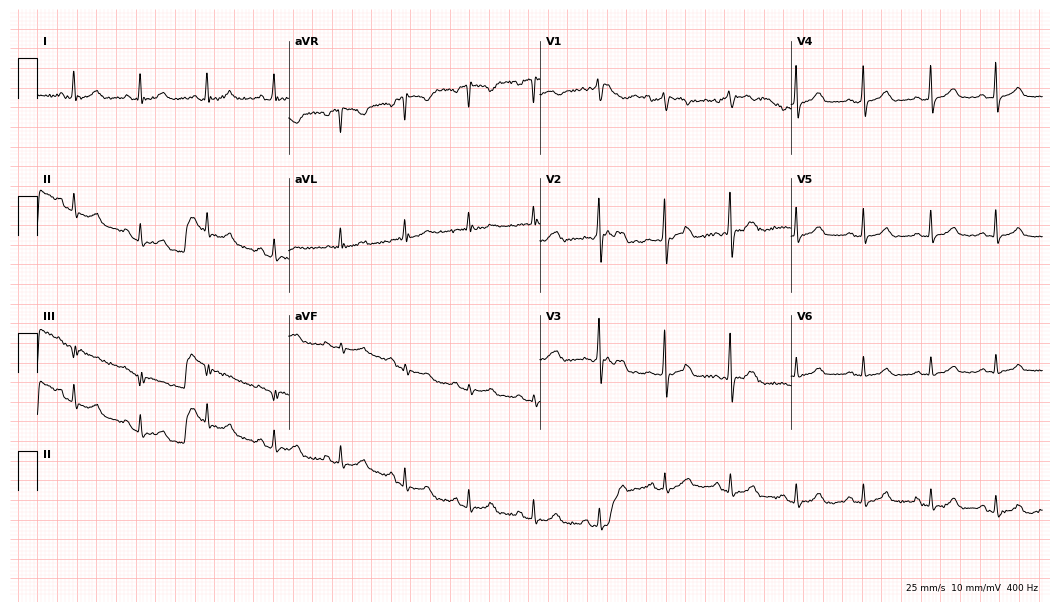
12-lead ECG from a female, 37 years old (10.2-second recording at 400 Hz). Recorded interpretation: within normal limits.